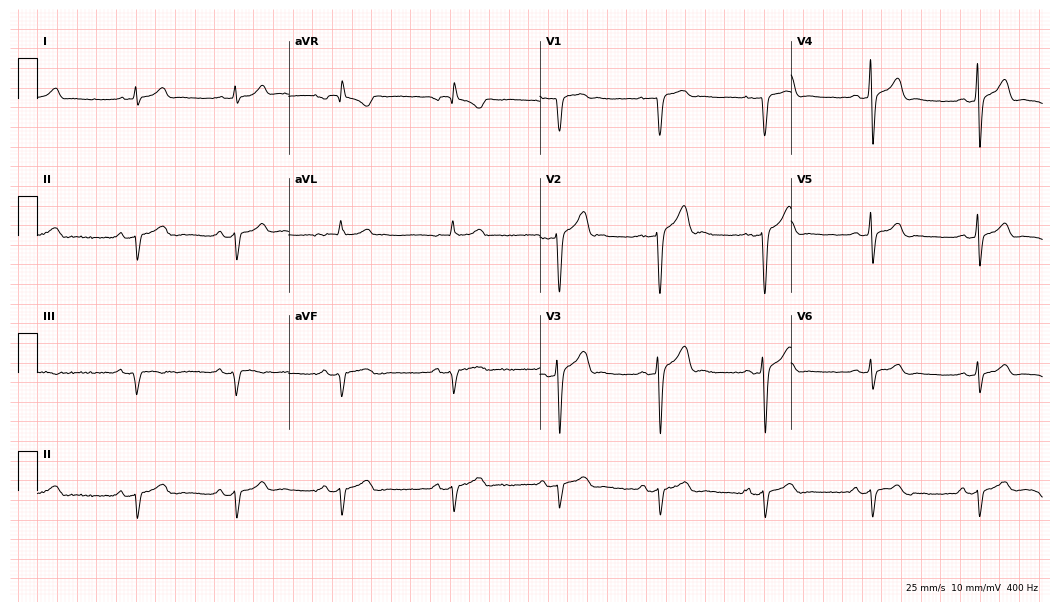
Resting 12-lead electrocardiogram. Patient: a man, 23 years old. None of these six findings is recorded: first-degree AV block, right bundle branch block, left bundle branch block, sinus bradycardia, atrial fibrillation, sinus tachycardia. Only these six findings were labelled.